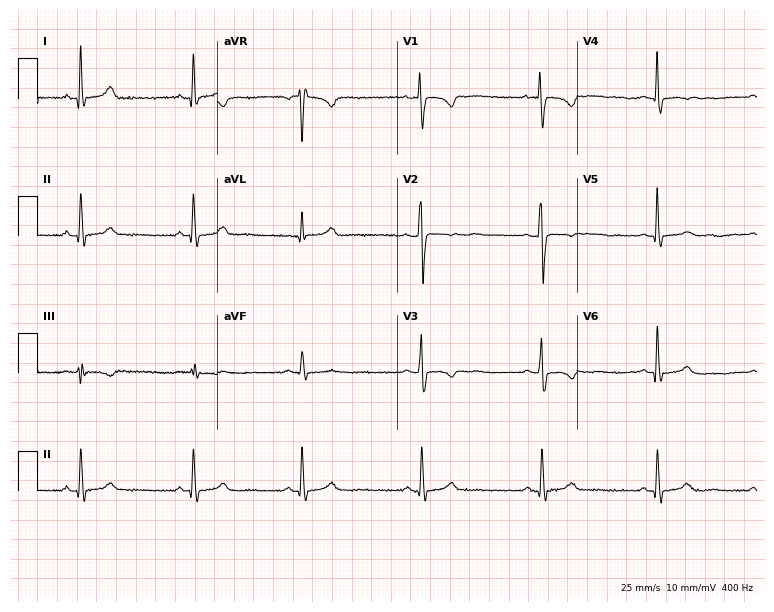
12-lead ECG from a woman, 39 years old (7.3-second recording at 400 Hz). No first-degree AV block, right bundle branch block, left bundle branch block, sinus bradycardia, atrial fibrillation or sinus tachycardia recorded for this tracing.